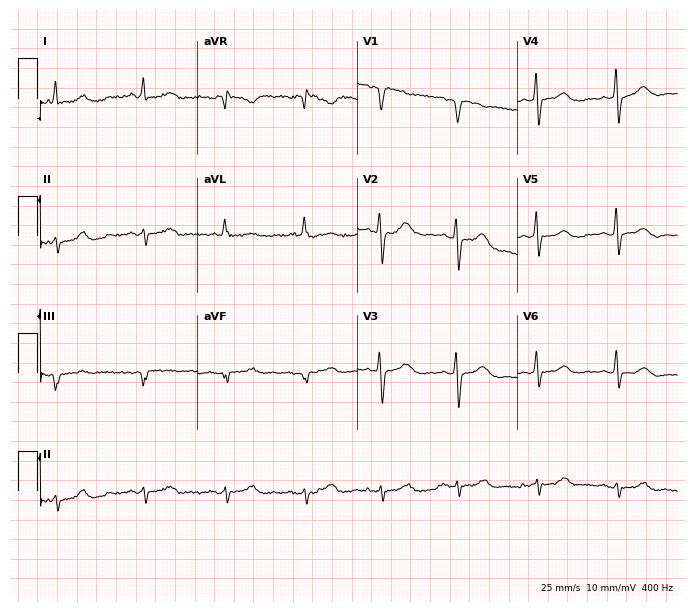
Resting 12-lead electrocardiogram. Patient: a 67-year-old female. None of these six findings is recorded: first-degree AV block, right bundle branch block, left bundle branch block, sinus bradycardia, atrial fibrillation, sinus tachycardia.